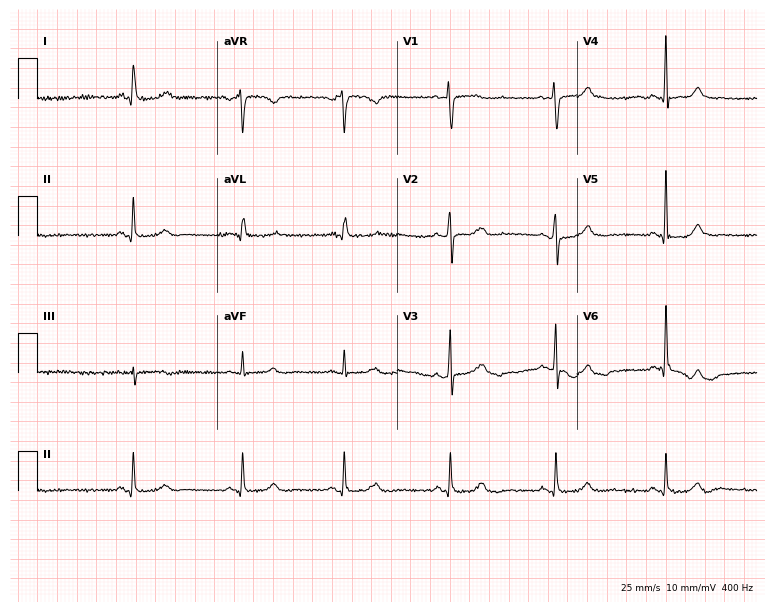
12-lead ECG from a 61-year-old female. Labelled as a normal ECG.